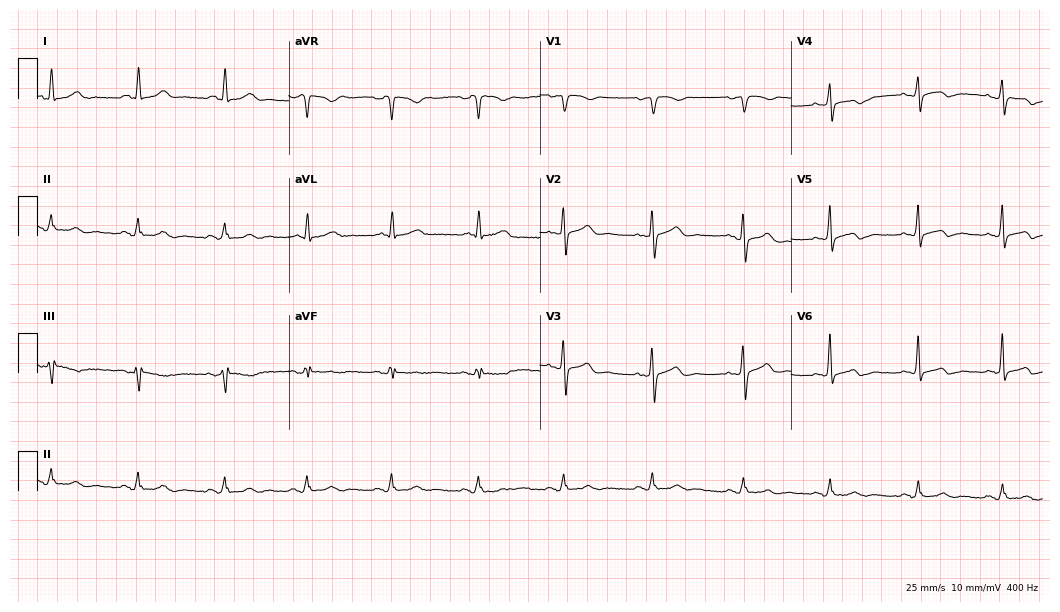
ECG (10.2-second recording at 400 Hz) — a female, 50 years old. Labelled as a normal ECG.